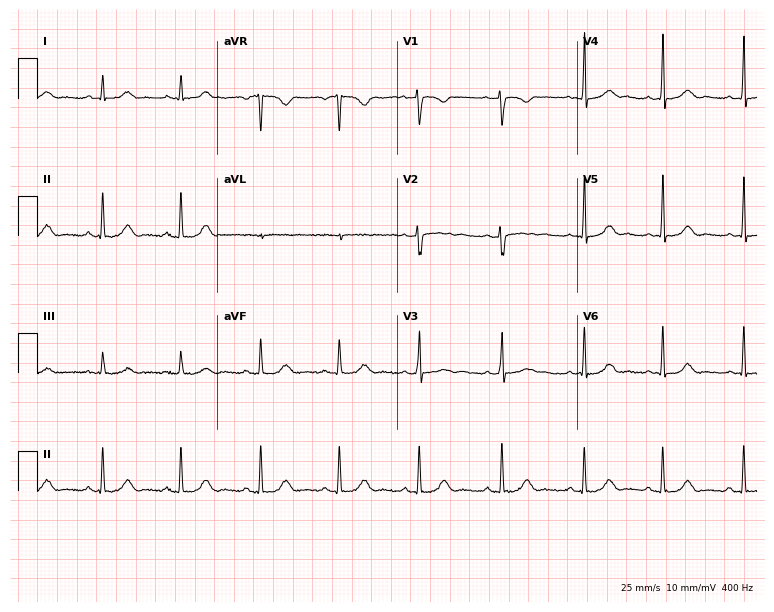
Electrocardiogram (7.3-second recording at 400 Hz), a woman, 32 years old. Overall reading on record: normal ECG.